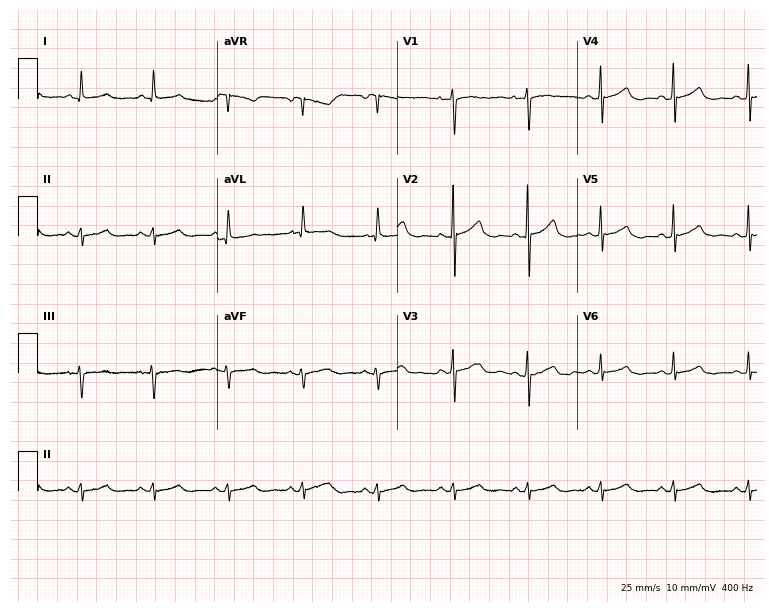
Standard 12-lead ECG recorded from a woman, 54 years old. Read as a normal ECG.